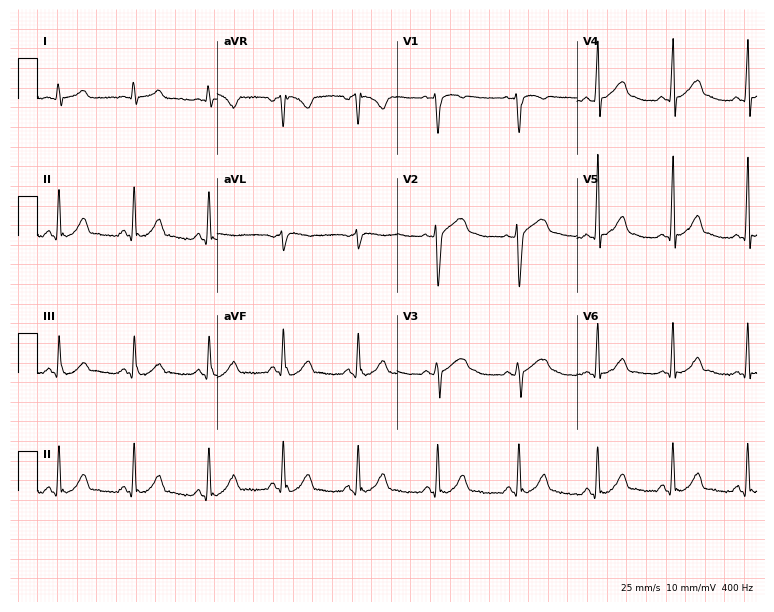
Standard 12-lead ECG recorded from a male patient, 35 years old (7.3-second recording at 400 Hz). Read as a normal ECG.